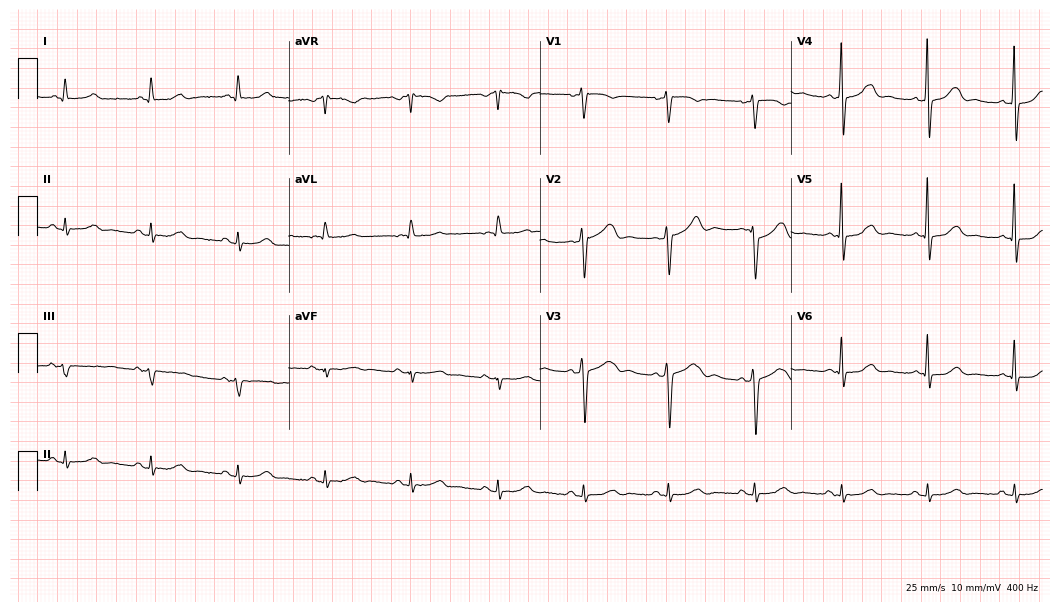
12-lead ECG from a female, 58 years old. Recorded interpretation: within normal limits.